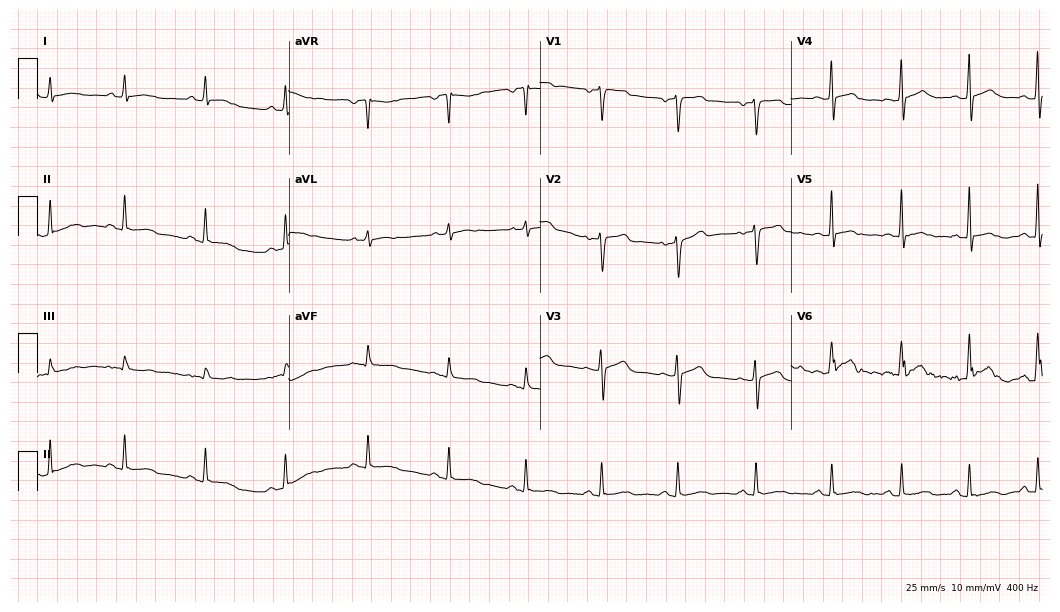
12-lead ECG from a 50-year-old female (10.2-second recording at 400 Hz). Recorded interpretation: within normal limits.